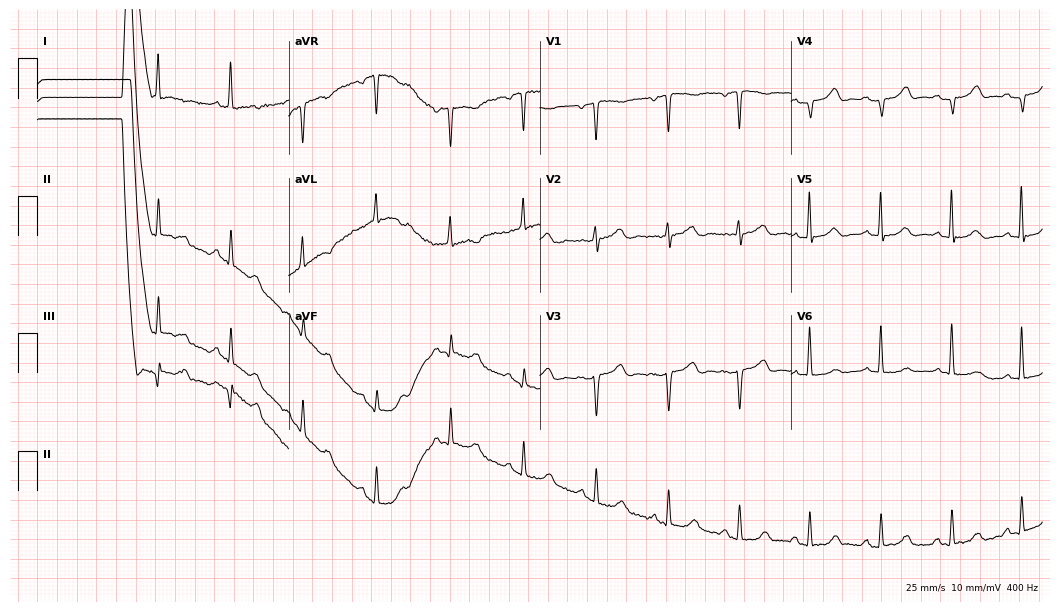
Standard 12-lead ECG recorded from a female, 68 years old. None of these six findings is recorded: first-degree AV block, right bundle branch block, left bundle branch block, sinus bradycardia, atrial fibrillation, sinus tachycardia. Other findings, if any, are not listed.